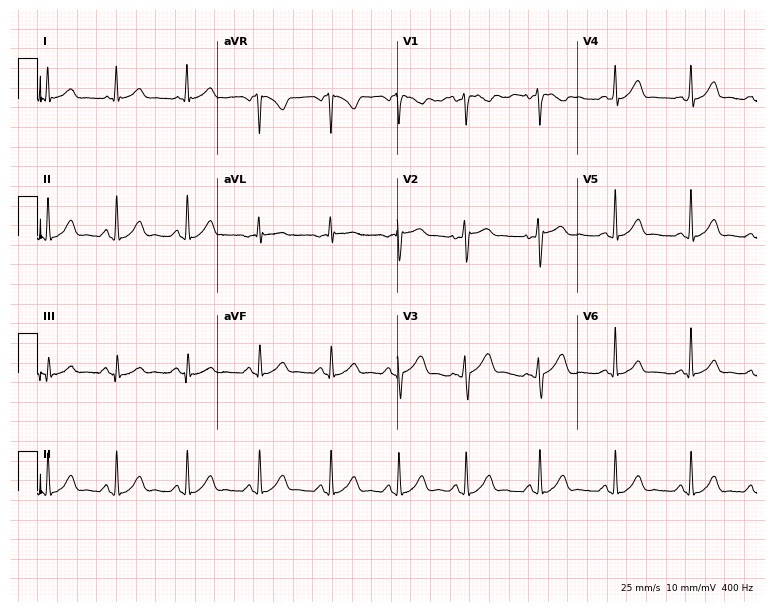
Resting 12-lead electrocardiogram. Patient: a 26-year-old female. None of these six findings is recorded: first-degree AV block, right bundle branch block, left bundle branch block, sinus bradycardia, atrial fibrillation, sinus tachycardia.